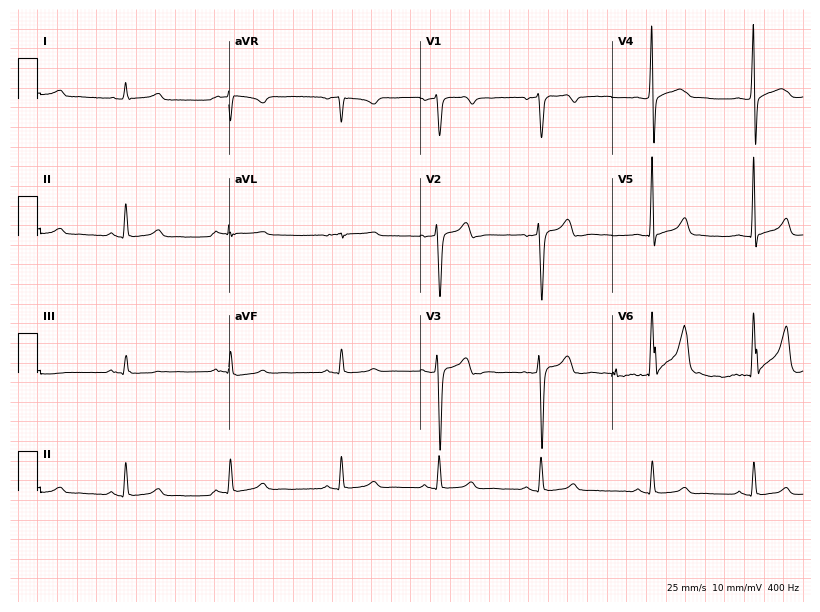
Resting 12-lead electrocardiogram. Patient: a male, 38 years old. None of these six findings is recorded: first-degree AV block, right bundle branch block (RBBB), left bundle branch block (LBBB), sinus bradycardia, atrial fibrillation (AF), sinus tachycardia. Findings outside these six are not listed.